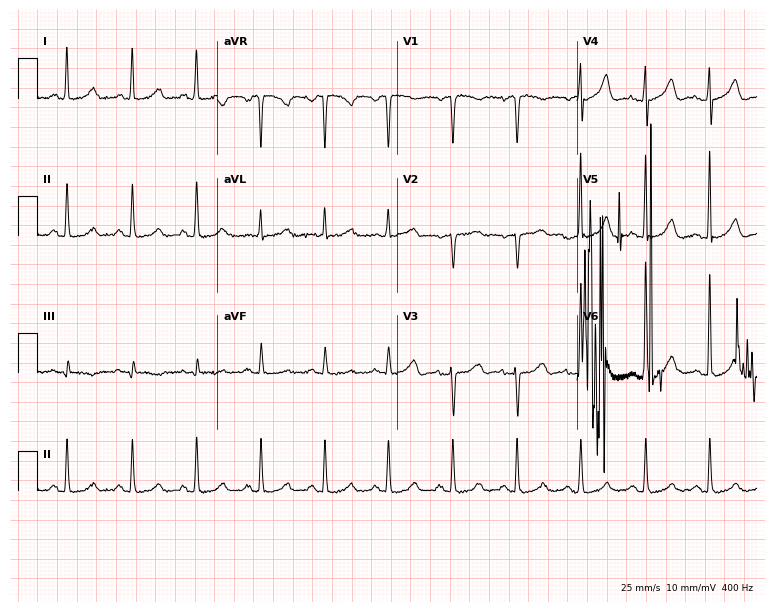
12-lead ECG from a female patient, 72 years old. Screened for six findings — first-degree AV block, right bundle branch block (RBBB), left bundle branch block (LBBB), sinus bradycardia, atrial fibrillation (AF), sinus tachycardia — none is recorded.